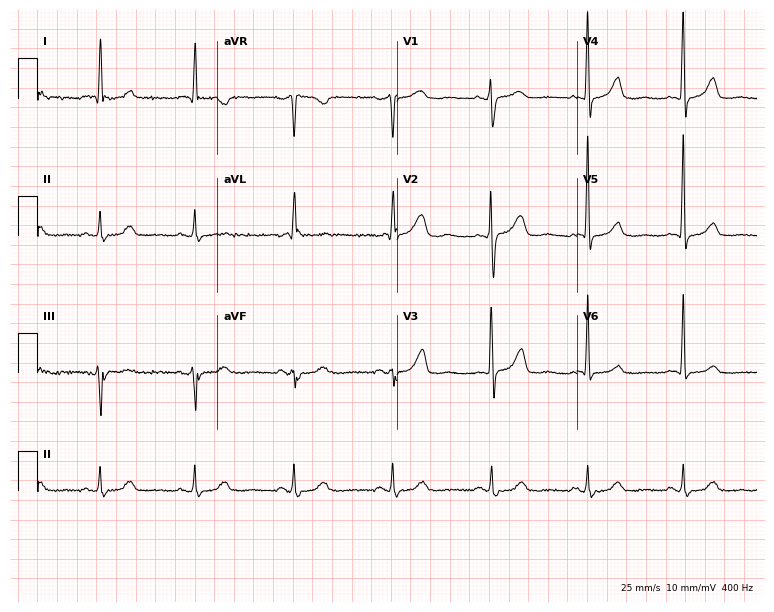
Electrocardiogram (7.3-second recording at 400 Hz), a 73-year-old female patient. Of the six screened findings (first-degree AV block, right bundle branch block (RBBB), left bundle branch block (LBBB), sinus bradycardia, atrial fibrillation (AF), sinus tachycardia), none is recorded. Other findings, if any, are not listed.